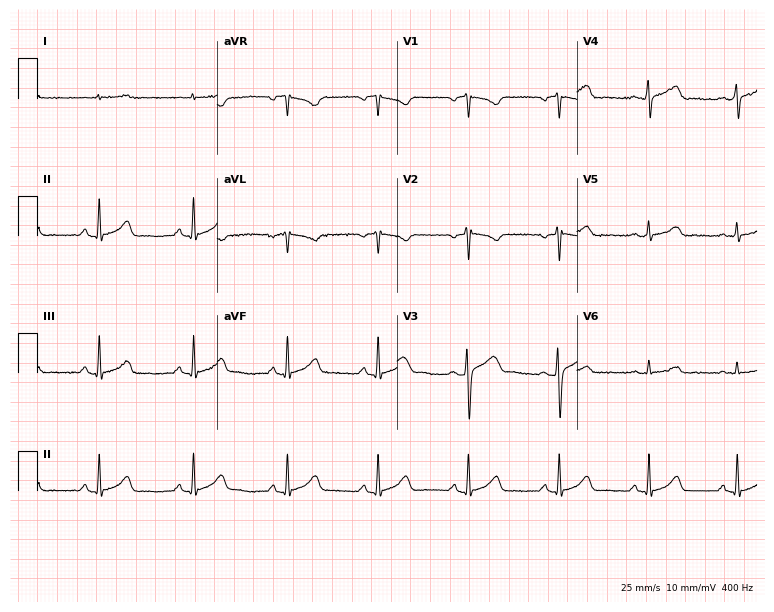
Standard 12-lead ECG recorded from a man, 51 years old. Read as a normal ECG.